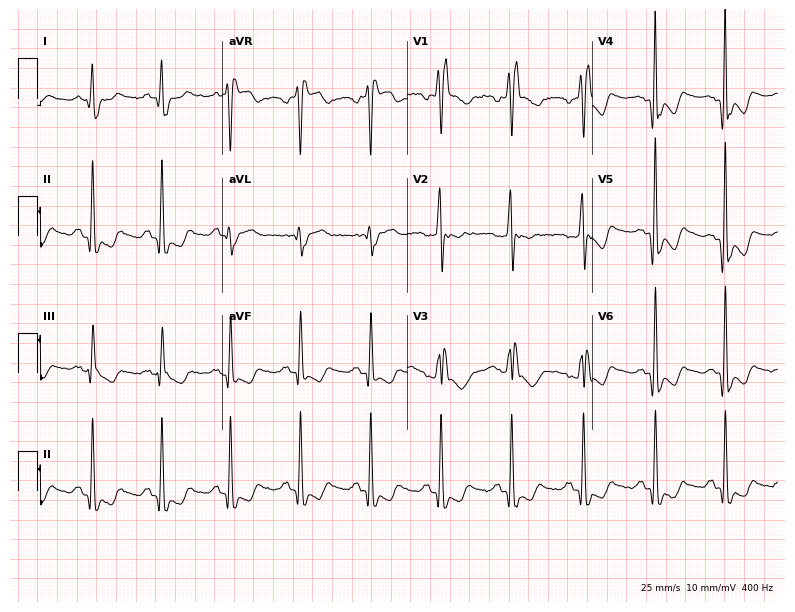
Electrocardiogram (7.5-second recording at 400 Hz), a 53-year-old man. Of the six screened findings (first-degree AV block, right bundle branch block (RBBB), left bundle branch block (LBBB), sinus bradycardia, atrial fibrillation (AF), sinus tachycardia), none is recorded.